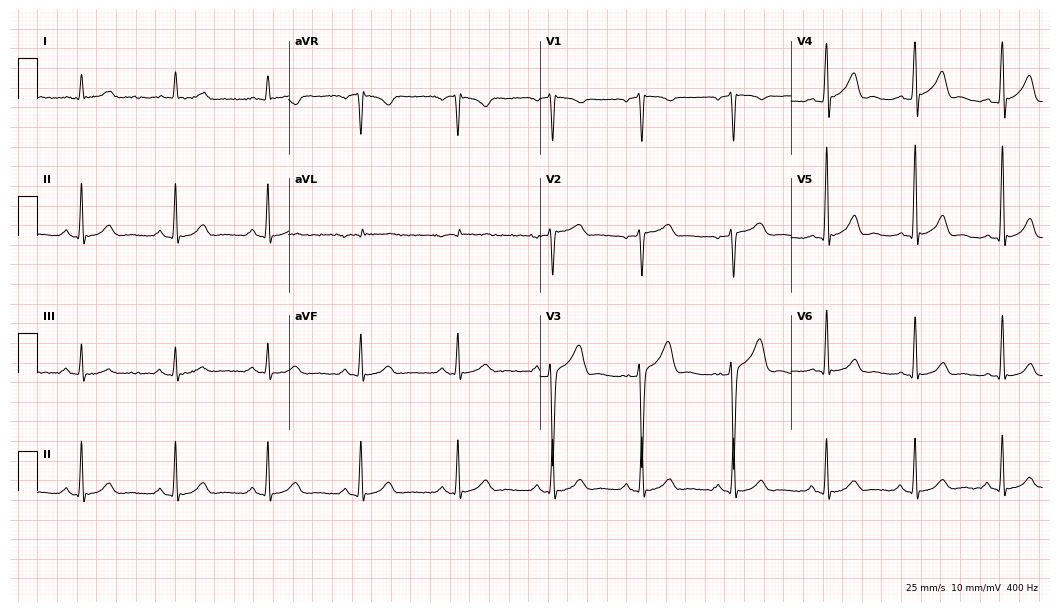
Electrocardiogram (10.2-second recording at 400 Hz), a man, 27 years old. Overall reading on record: normal ECG.